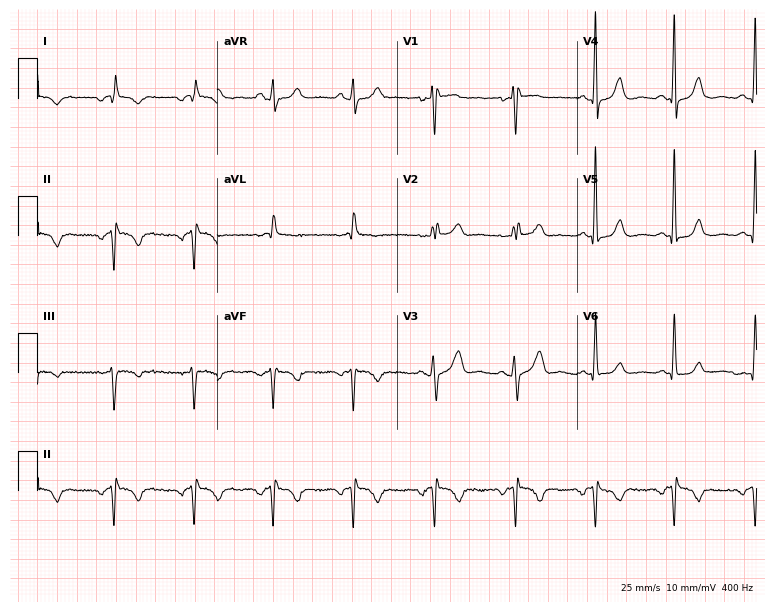
Resting 12-lead electrocardiogram (7.3-second recording at 400 Hz). Patient: a female, 68 years old. None of these six findings is recorded: first-degree AV block, right bundle branch block, left bundle branch block, sinus bradycardia, atrial fibrillation, sinus tachycardia.